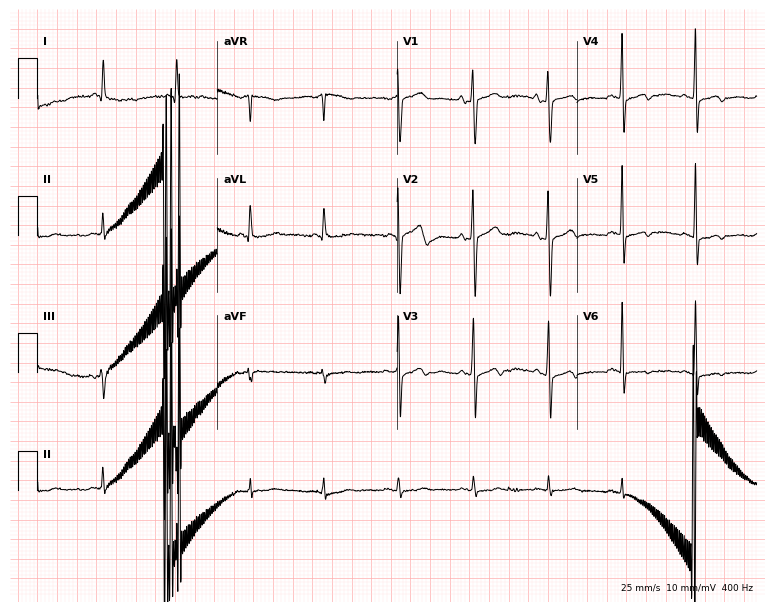
Resting 12-lead electrocardiogram. Patient: a 66-year-old female. None of these six findings is recorded: first-degree AV block, right bundle branch block, left bundle branch block, sinus bradycardia, atrial fibrillation, sinus tachycardia.